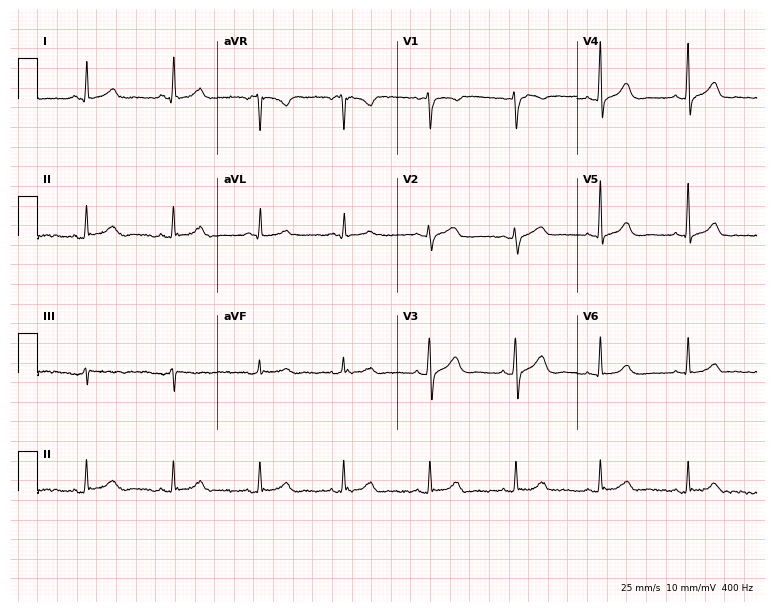
ECG — a 53-year-old female. Labelled as a normal ECG.